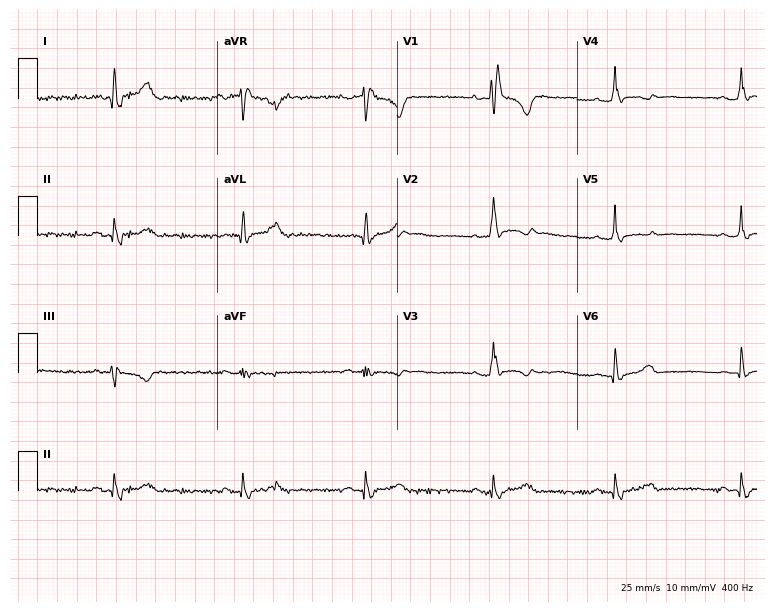
Resting 12-lead electrocardiogram (7.3-second recording at 400 Hz). Patient: a man, 45 years old. The tracing shows right bundle branch block (RBBB), sinus bradycardia (a sinus rate of 50 beats per minute or less).